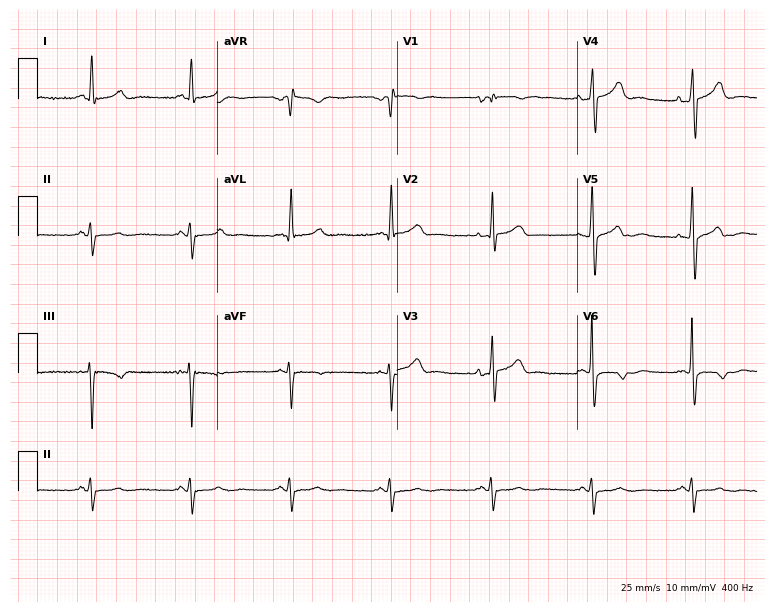
ECG — a male patient, 82 years old. Screened for six findings — first-degree AV block, right bundle branch block (RBBB), left bundle branch block (LBBB), sinus bradycardia, atrial fibrillation (AF), sinus tachycardia — none is recorded.